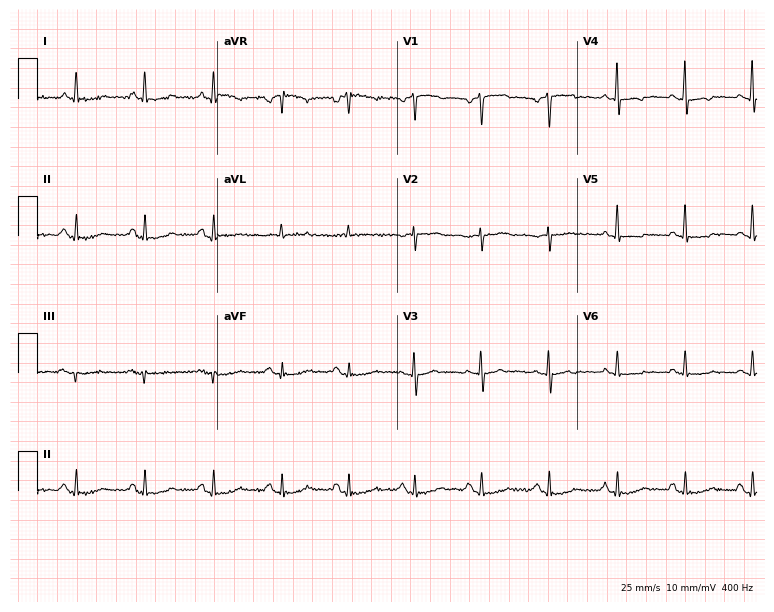
Electrocardiogram, a male patient, 64 years old. Of the six screened findings (first-degree AV block, right bundle branch block, left bundle branch block, sinus bradycardia, atrial fibrillation, sinus tachycardia), none is recorded. Other findings, if any, are not listed.